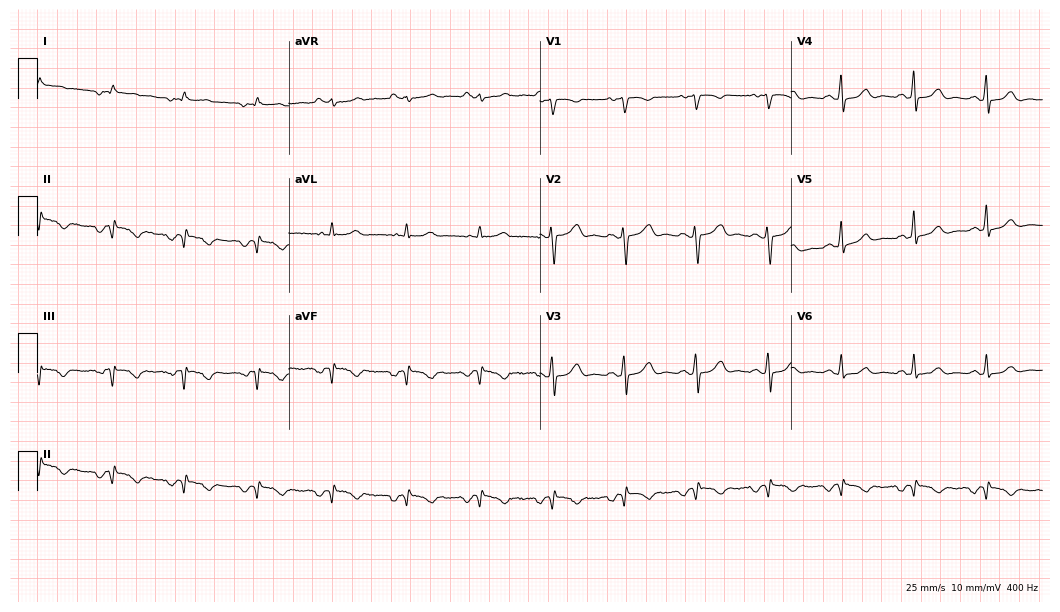
Electrocardiogram, a 37-year-old woman. Of the six screened findings (first-degree AV block, right bundle branch block (RBBB), left bundle branch block (LBBB), sinus bradycardia, atrial fibrillation (AF), sinus tachycardia), none is recorded.